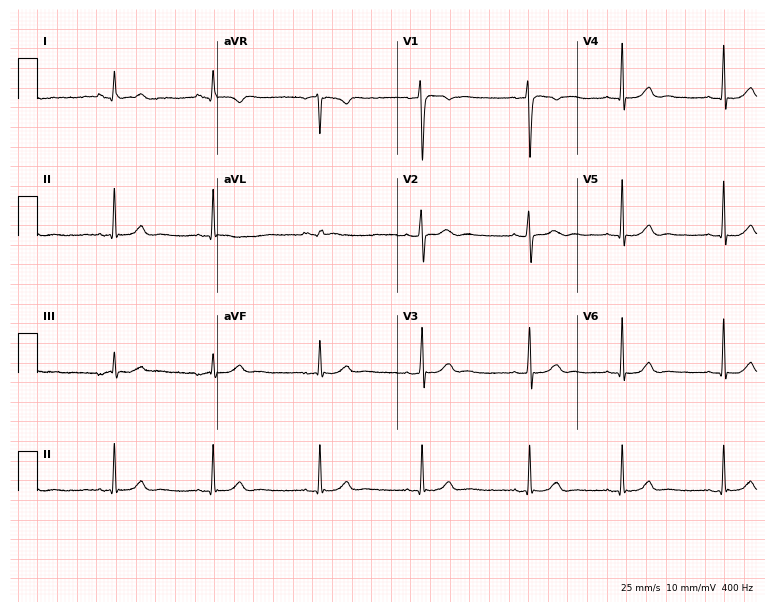
12-lead ECG from a 26-year-old female patient. No first-degree AV block, right bundle branch block (RBBB), left bundle branch block (LBBB), sinus bradycardia, atrial fibrillation (AF) or sinus tachycardia recorded for this tracing. Other findings, if any, are not listed.